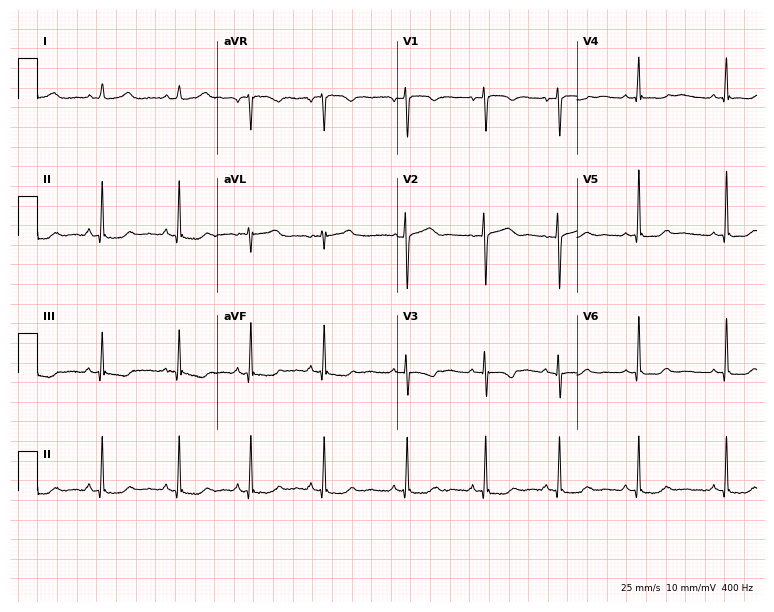
12-lead ECG from a 34-year-old female patient. Screened for six findings — first-degree AV block, right bundle branch block, left bundle branch block, sinus bradycardia, atrial fibrillation, sinus tachycardia — none is recorded. Findings outside these six are not listed.